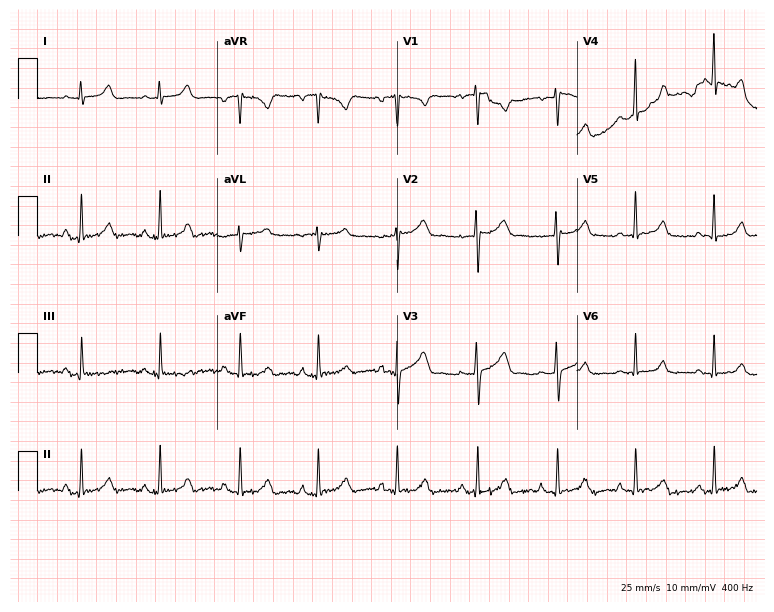
12-lead ECG from a 19-year-old female patient. Recorded interpretation: within normal limits.